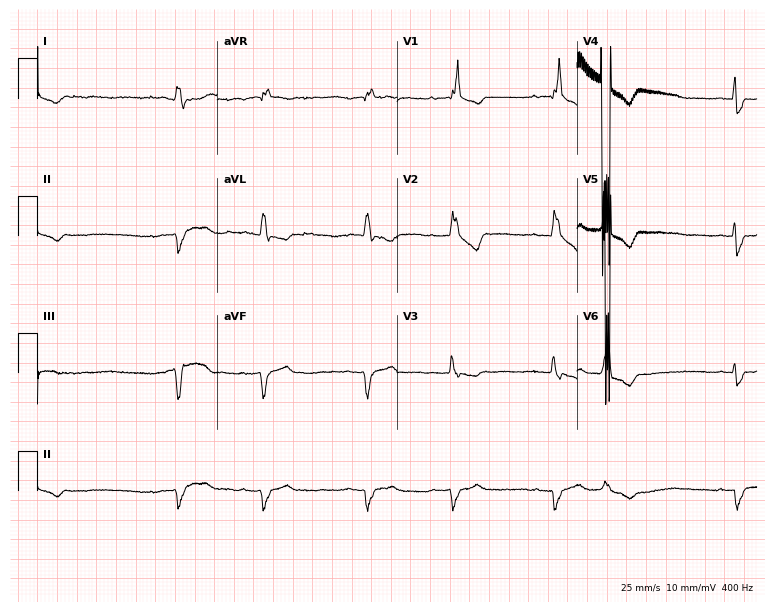
Electrocardiogram, an 84-year-old woman. Of the six screened findings (first-degree AV block, right bundle branch block, left bundle branch block, sinus bradycardia, atrial fibrillation, sinus tachycardia), none is recorded. Findings outside these six are not listed.